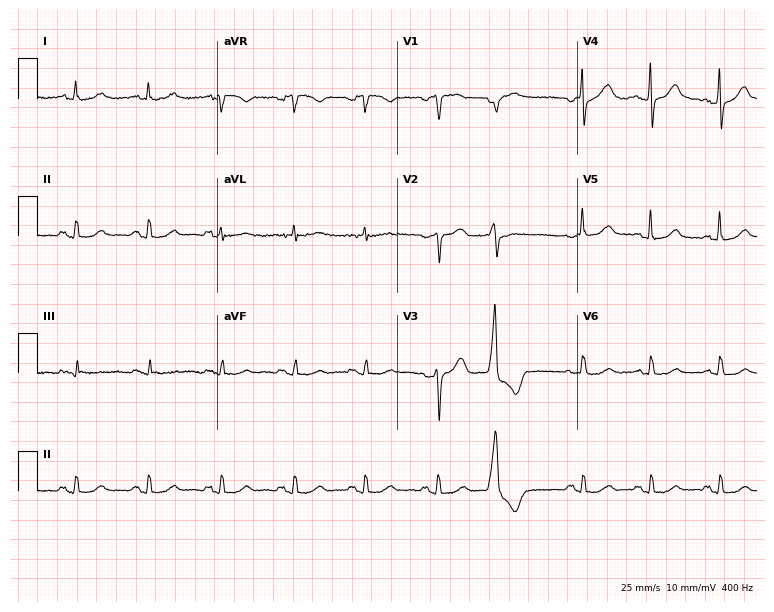
Standard 12-lead ECG recorded from a female patient, 73 years old (7.3-second recording at 400 Hz). None of these six findings is recorded: first-degree AV block, right bundle branch block, left bundle branch block, sinus bradycardia, atrial fibrillation, sinus tachycardia. Only these six findings were labelled.